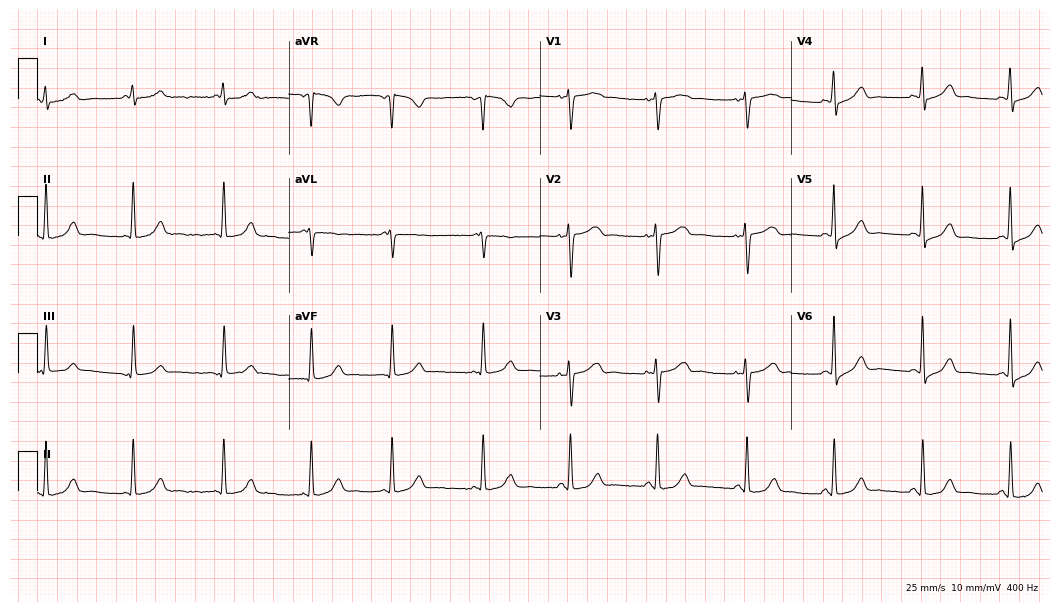
12-lead ECG from a 51-year-old female patient. Recorded interpretation: within normal limits.